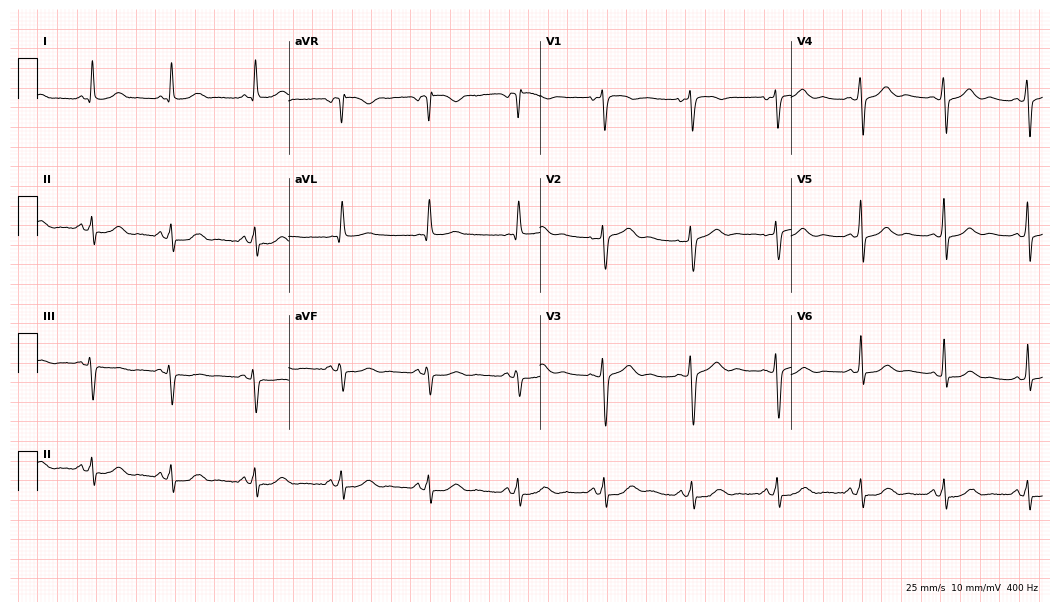
ECG (10.2-second recording at 400 Hz) — a 55-year-old female. Labelled as a normal ECG.